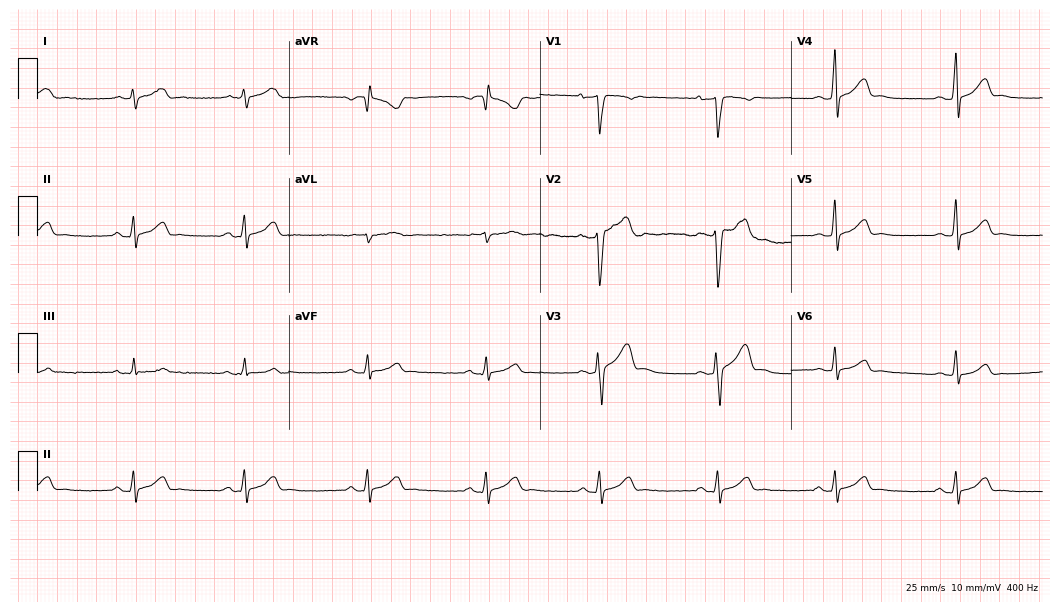
12-lead ECG from a male, 30 years old (10.2-second recording at 400 Hz). Recorded interpretation: within normal limits.